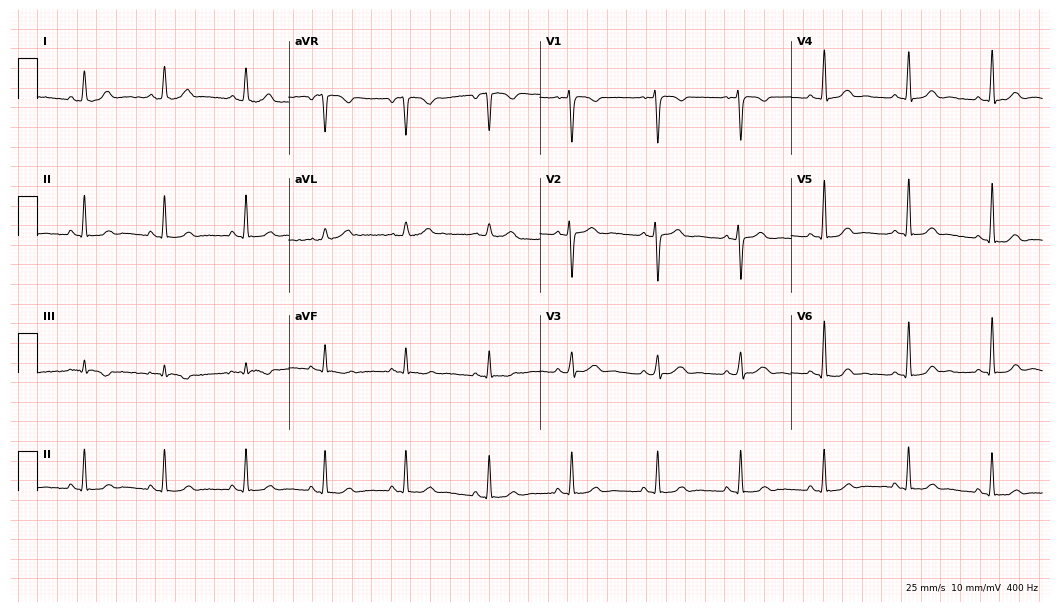
Standard 12-lead ECG recorded from a 33-year-old woman (10.2-second recording at 400 Hz). Read as a normal ECG.